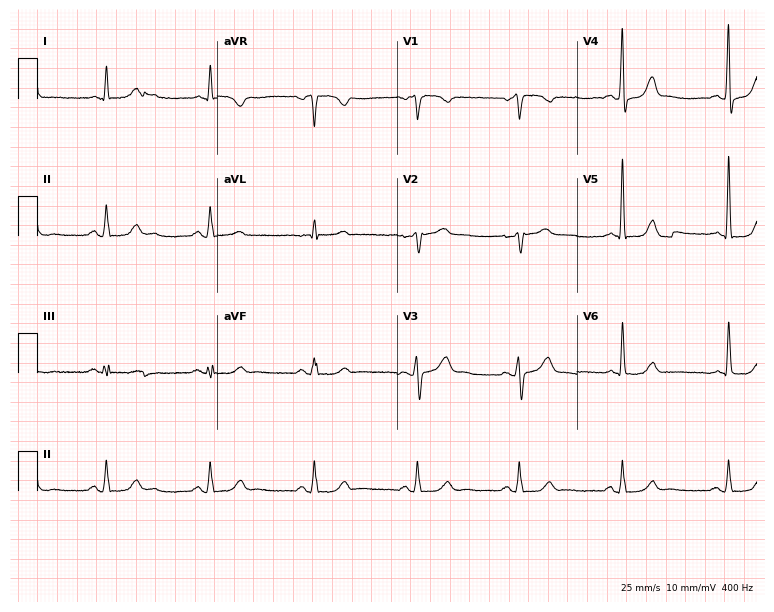
Electrocardiogram, a male patient, 60 years old. Of the six screened findings (first-degree AV block, right bundle branch block (RBBB), left bundle branch block (LBBB), sinus bradycardia, atrial fibrillation (AF), sinus tachycardia), none is recorded. Other findings, if any, are not listed.